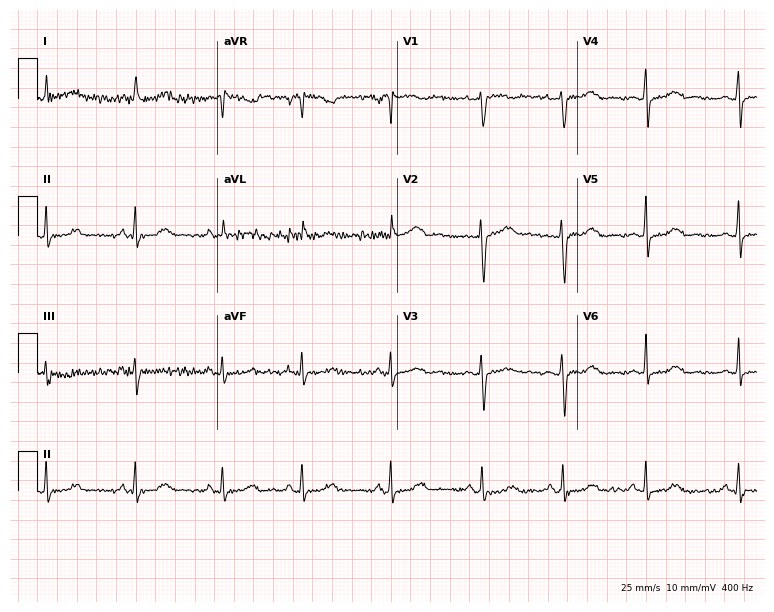
12-lead ECG from a 69-year-old female (7.3-second recording at 400 Hz). No first-degree AV block, right bundle branch block (RBBB), left bundle branch block (LBBB), sinus bradycardia, atrial fibrillation (AF) or sinus tachycardia recorded for this tracing.